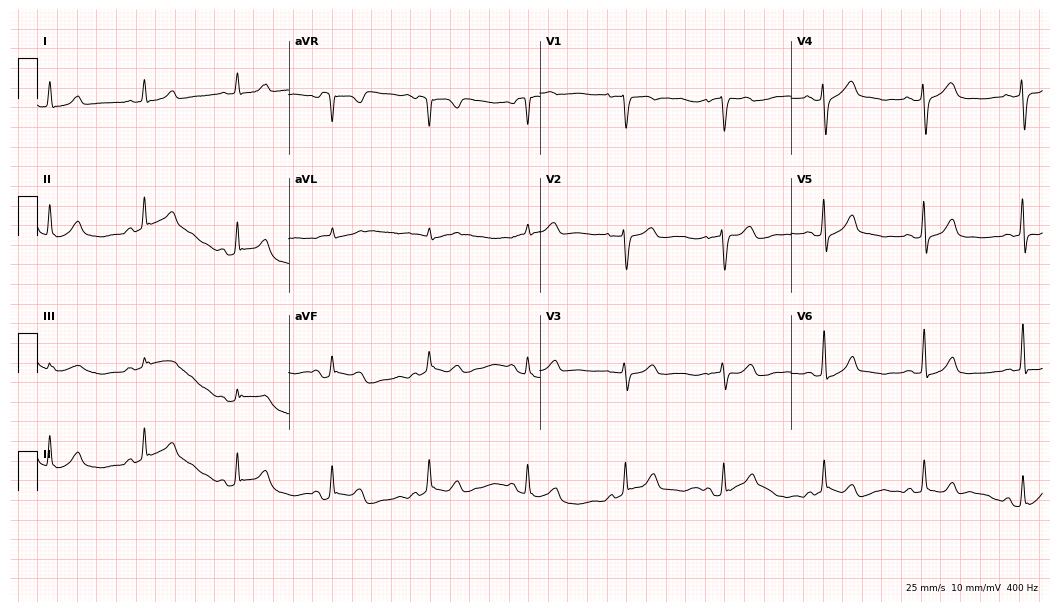
Standard 12-lead ECG recorded from a 56-year-old female patient. None of these six findings is recorded: first-degree AV block, right bundle branch block, left bundle branch block, sinus bradycardia, atrial fibrillation, sinus tachycardia. Findings outside these six are not listed.